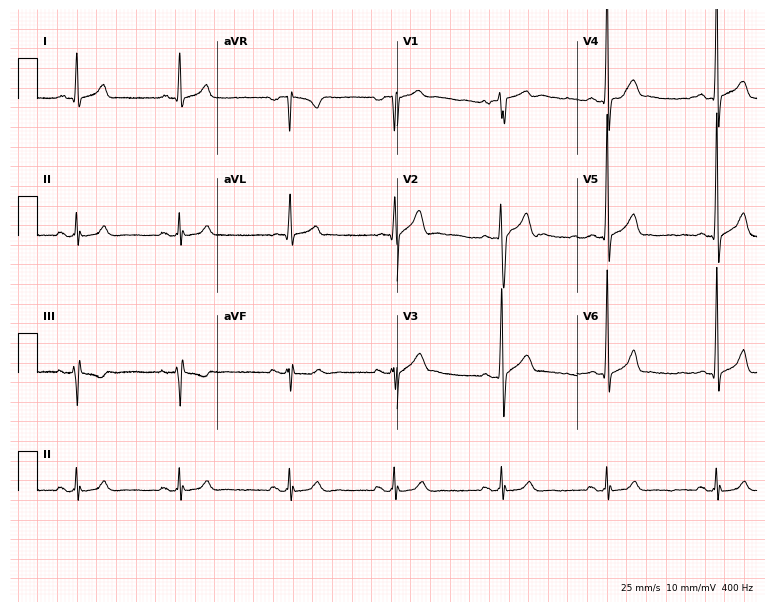
ECG (7.3-second recording at 400 Hz) — a male patient, 22 years old. Screened for six findings — first-degree AV block, right bundle branch block, left bundle branch block, sinus bradycardia, atrial fibrillation, sinus tachycardia — none is recorded. Findings outside these six are not listed.